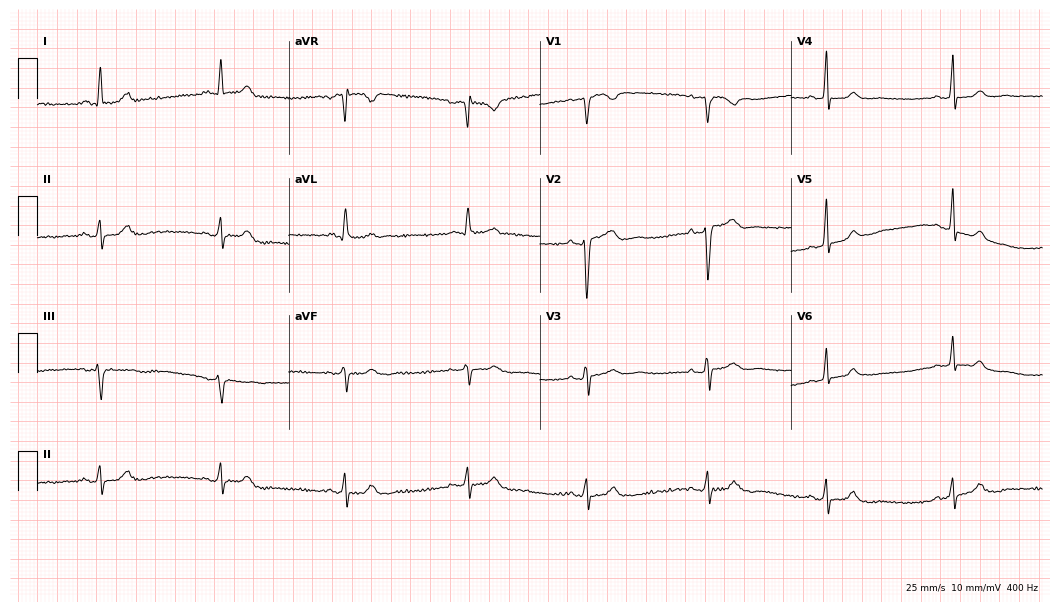
Electrocardiogram (10.2-second recording at 400 Hz), a 59-year-old female patient. Interpretation includes sinus bradycardia (a sinus rate of 50 beats per minute or less).